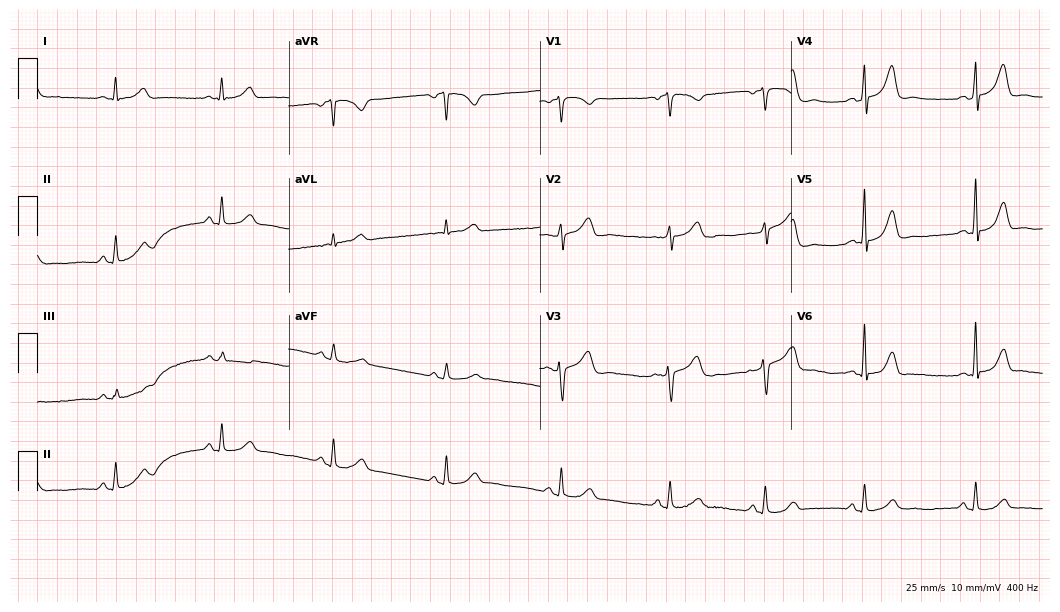
12-lead ECG from a woman, 50 years old. Recorded interpretation: within normal limits.